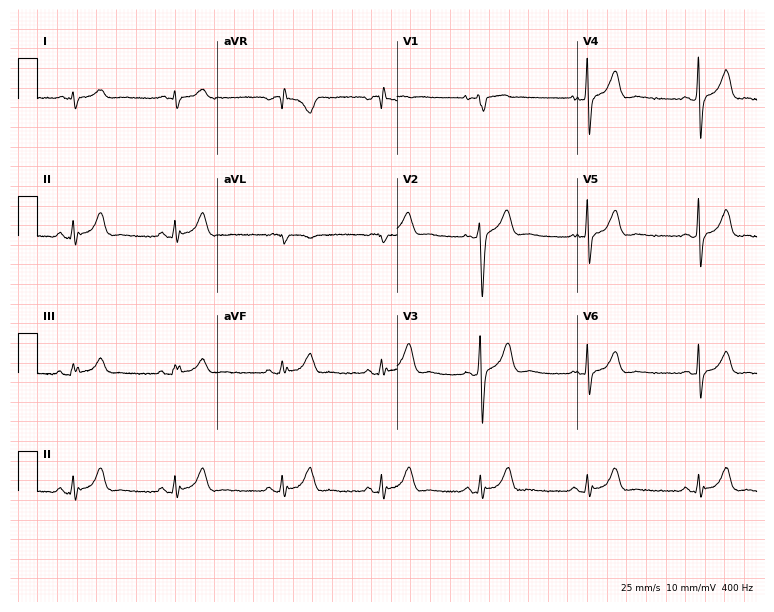
12-lead ECG from a 29-year-old male. Labelled as a normal ECG.